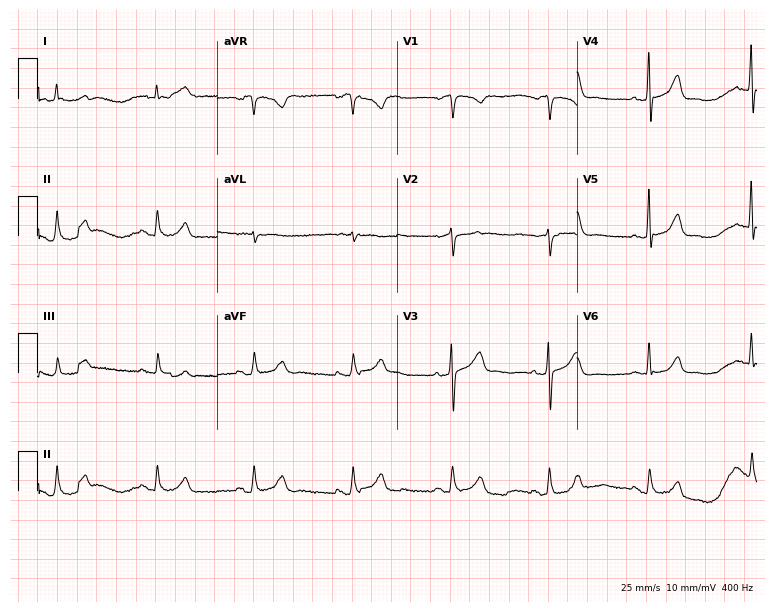
12-lead ECG (7.3-second recording at 400 Hz) from a male, 63 years old. Labelled as a normal ECG.